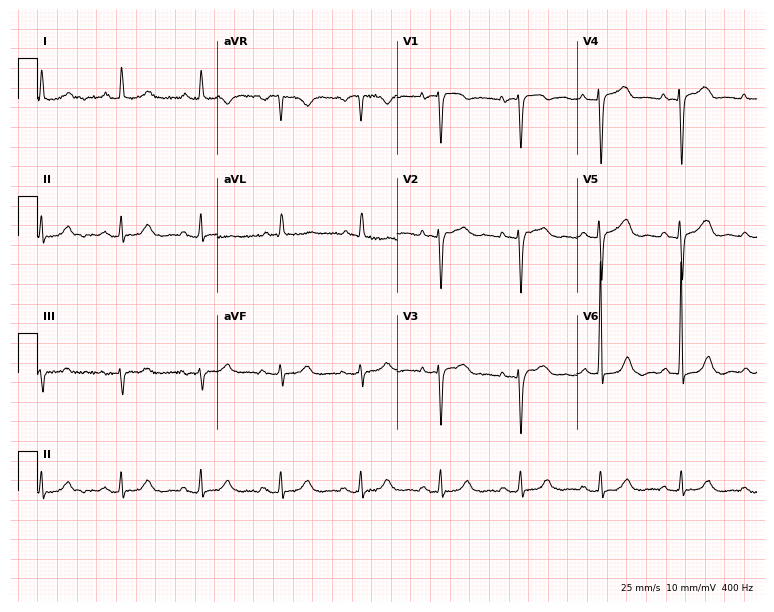
Standard 12-lead ECG recorded from a woman, 78 years old (7.3-second recording at 400 Hz). None of these six findings is recorded: first-degree AV block, right bundle branch block, left bundle branch block, sinus bradycardia, atrial fibrillation, sinus tachycardia. Other findings, if any, are not listed.